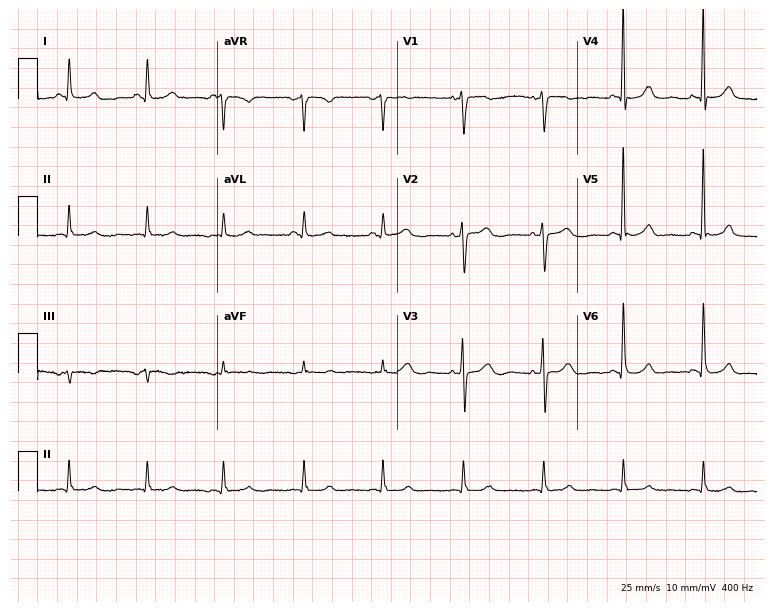
Electrocardiogram (7.3-second recording at 400 Hz), a woman, 73 years old. Overall reading on record: normal ECG.